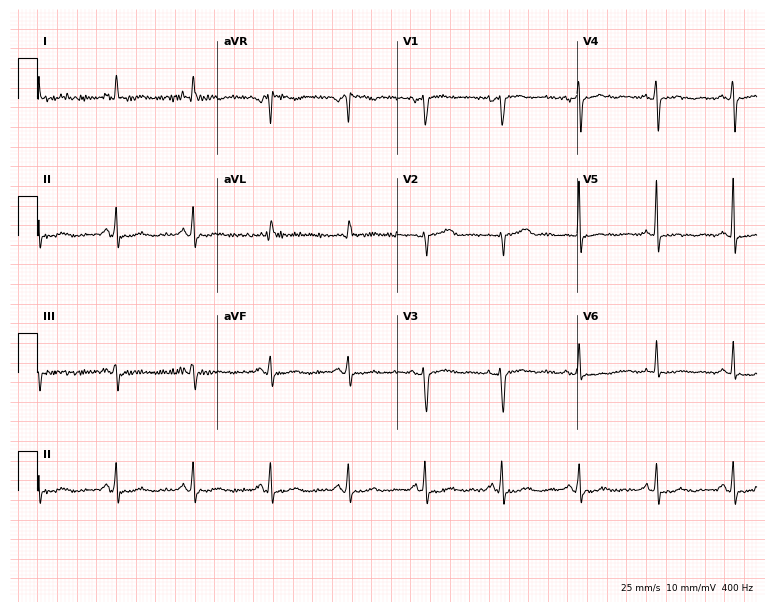
Resting 12-lead electrocardiogram. Patient: a 62-year-old woman. None of these six findings is recorded: first-degree AV block, right bundle branch block, left bundle branch block, sinus bradycardia, atrial fibrillation, sinus tachycardia. Only these six findings were labelled.